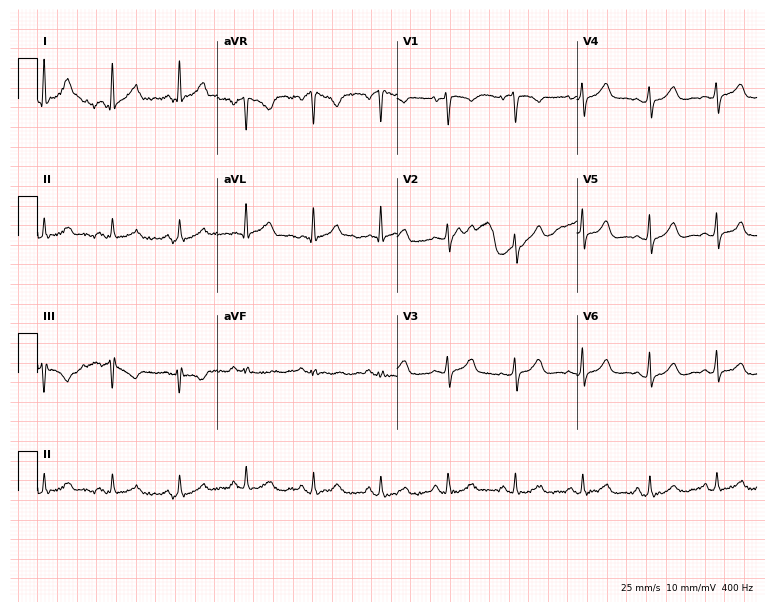
ECG — a 57-year-old woman. Screened for six findings — first-degree AV block, right bundle branch block (RBBB), left bundle branch block (LBBB), sinus bradycardia, atrial fibrillation (AF), sinus tachycardia — none is recorded.